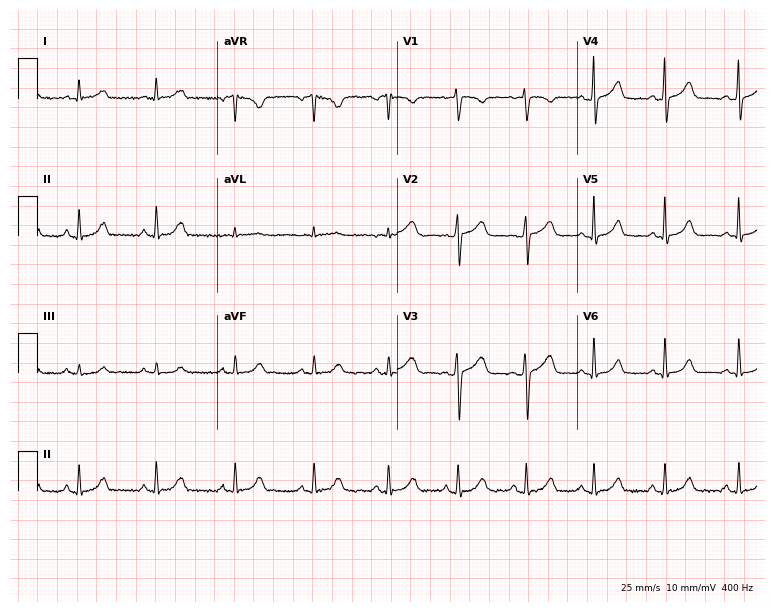
ECG — a 33-year-old female. Screened for six findings — first-degree AV block, right bundle branch block, left bundle branch block, sinus bradycardia, atrial fibrillation, sinus tachycardia — none is recorded.